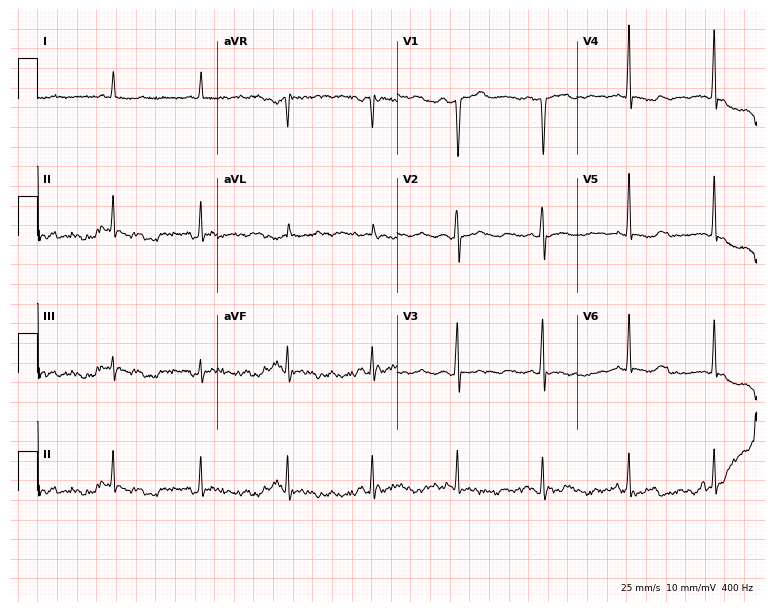
12-lead ECG from a man, 80 years old. No first-degree AV block, right bundle branch block, left bundle branch block, sinus bradycardia, atrial fibrillation or sinus tachycardia recorded for this tracing. Findings outside these six are not listed.